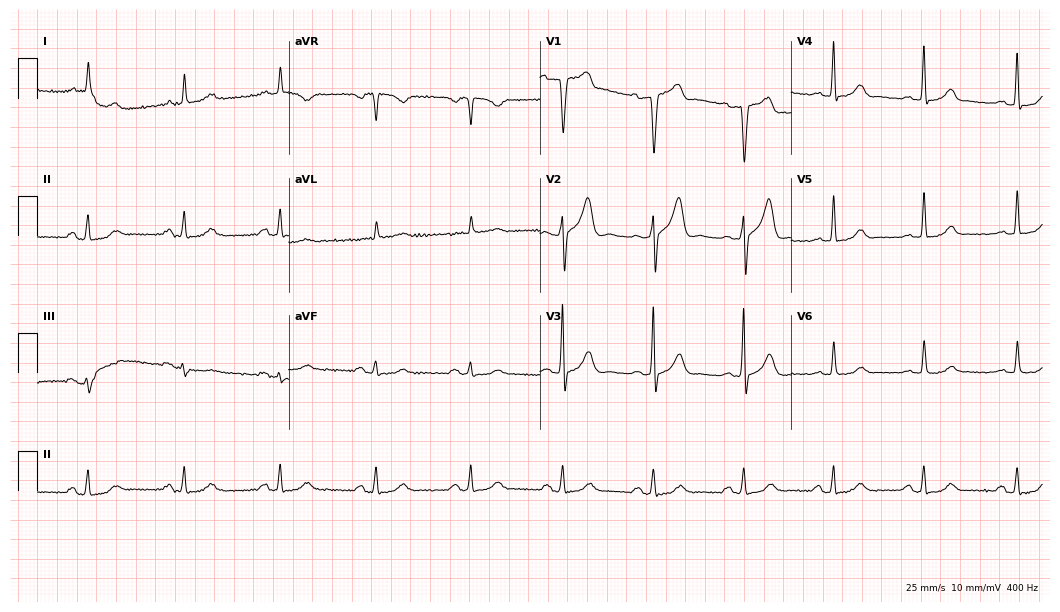
12-lead ECG from a male, 65 years old (10.2-second recording at 400 Hz). Recorded interpretation: within normal limits.